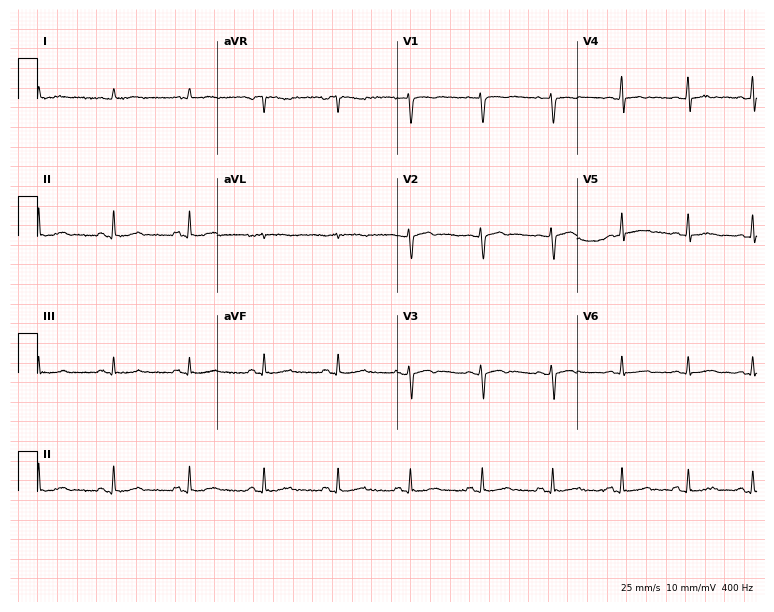
Resting 12-lead electrocardiogram. Patient: a female, 43 years old. None of these six findings is recorded: first-degree AV block, right bundle branch block, left bundle branch block, sinus bradycardia, atrial fibrillation, sinus tachycardia. Other findings, if any, are not listed.